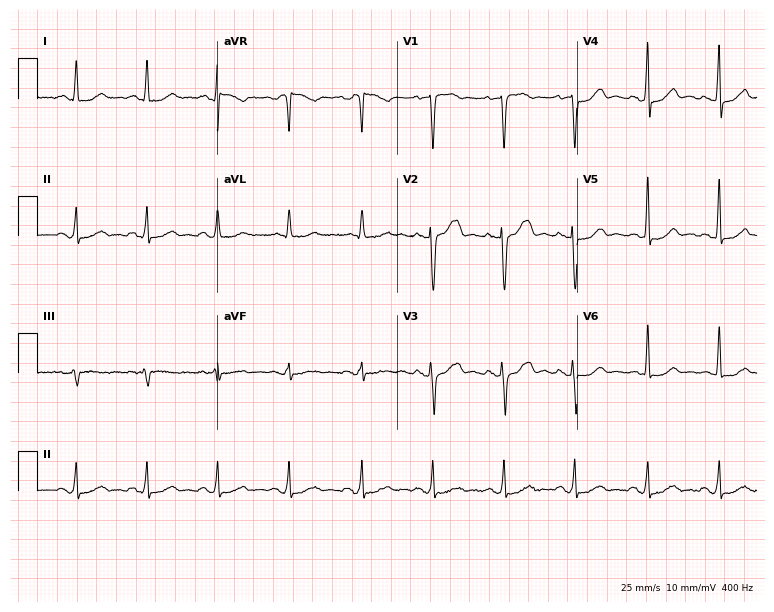
Electrocardiogram, a 60-year-old male patient. Overall reading on record: normal ECG.